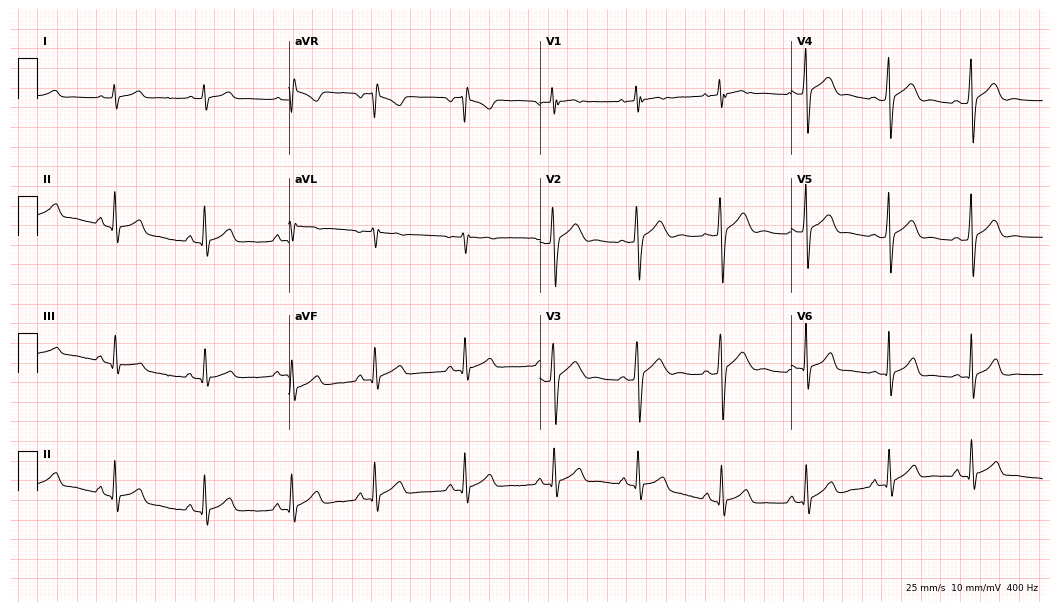
Resting 12-lead electrocardiogram (10.2-second recording at 400 Hz). Patient: a 17-year-old male. Read as a normal ECG.